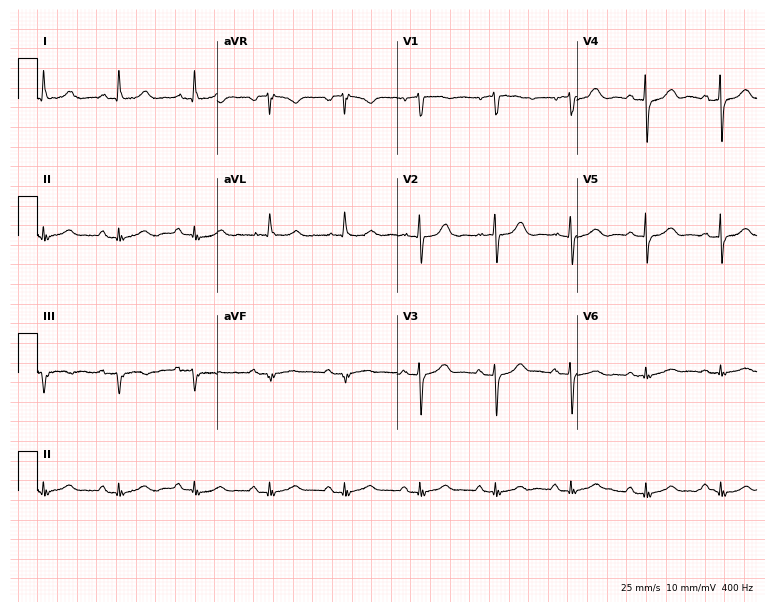
Electrocardiogram, an 84-year-old female patient. Of the six screened findings (first-degree AV block, right bundle branch block (RBBB), left bundle branch block (LBBB), sinus bradycardia, atrial fibrillation (AF), sinus tachycardia), none is recorded.